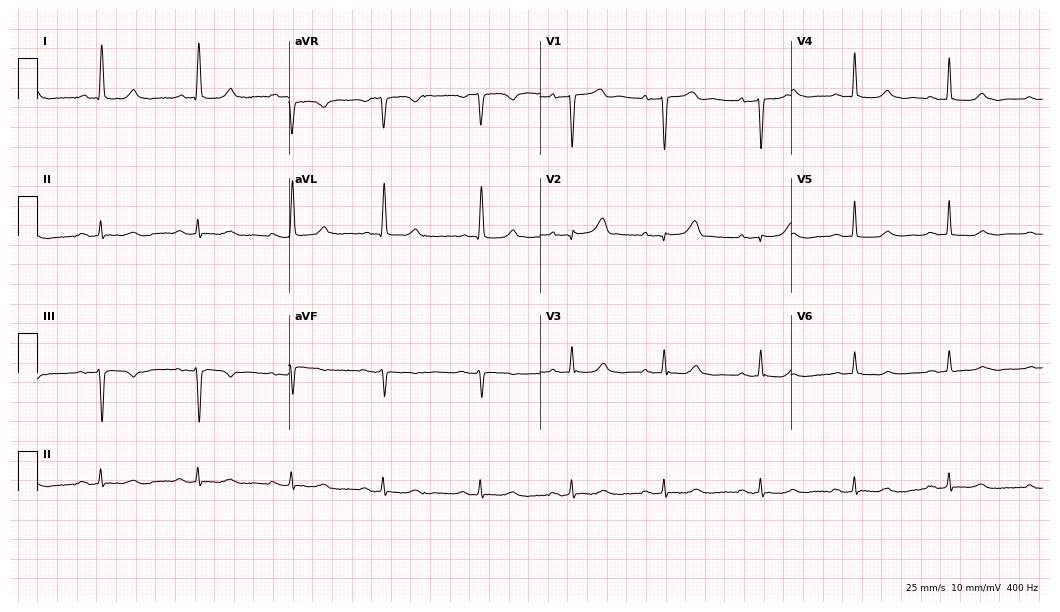
Standard 12-lead ECG recorded from a female patient, 84 years old (10.2-second recording at 400 Hz). Read as a normal ECG.